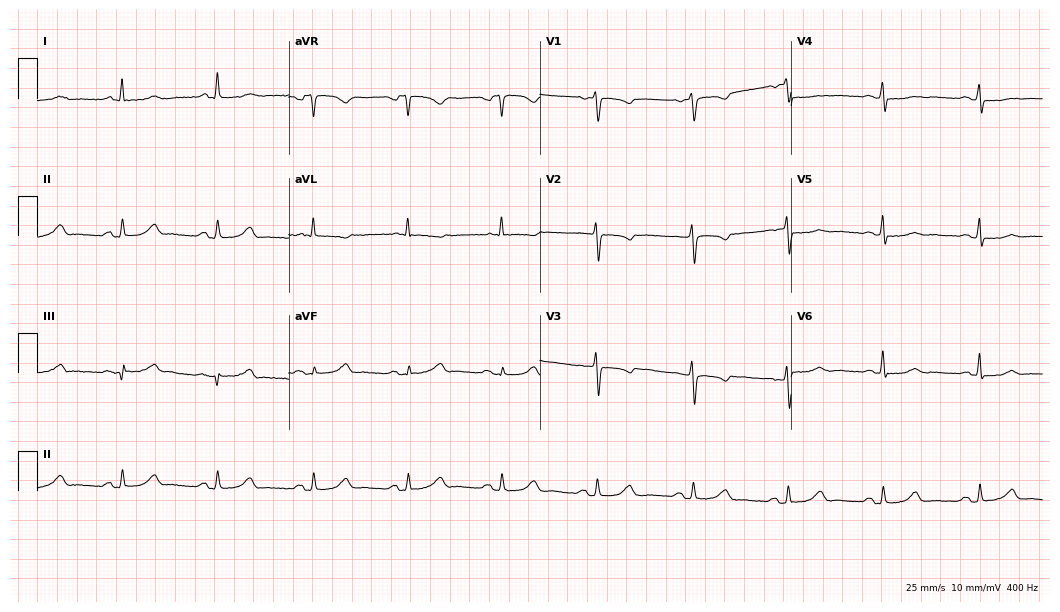
12-lead ECG (10.2-second recording at 400 Hz) from a 59-year-old female. Labelled as a normal ECG.